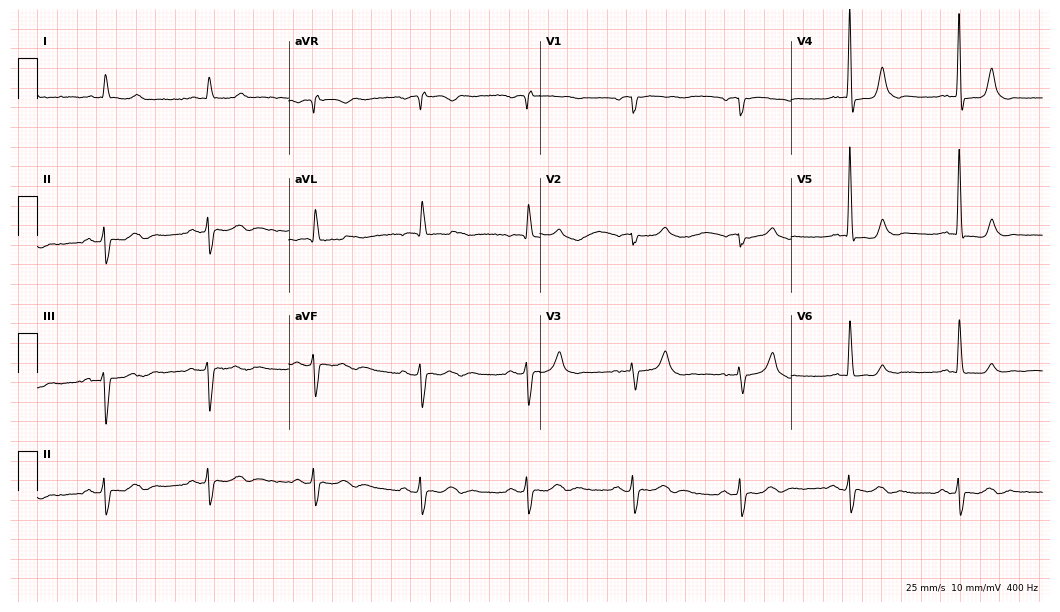
Standard 12-lead ECG recorded from an 83-year-old male patient (10.2-second recording at 400 Hz). None of these six findings is recorded: first-degree AV block, right bundle branch block, left bundle branch block, sinus bradycardia, atrial fibrillation, sinus tachycardia. Findings outside these six are not listed.